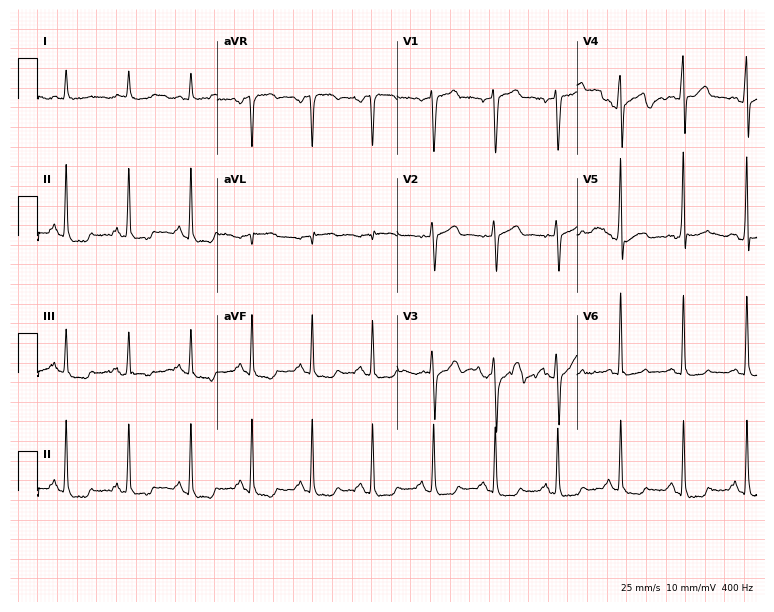
12-lead ECG (7.3-second recording at 400 Hz) from a man, 63 years old. Screened for six findings — first-degree AV block, right bundle branch block, left bundle branch block, sinus bradycardia, atrial fibrillation, sinus tachycardia — none is recorded. Findings outside these six are not listed.